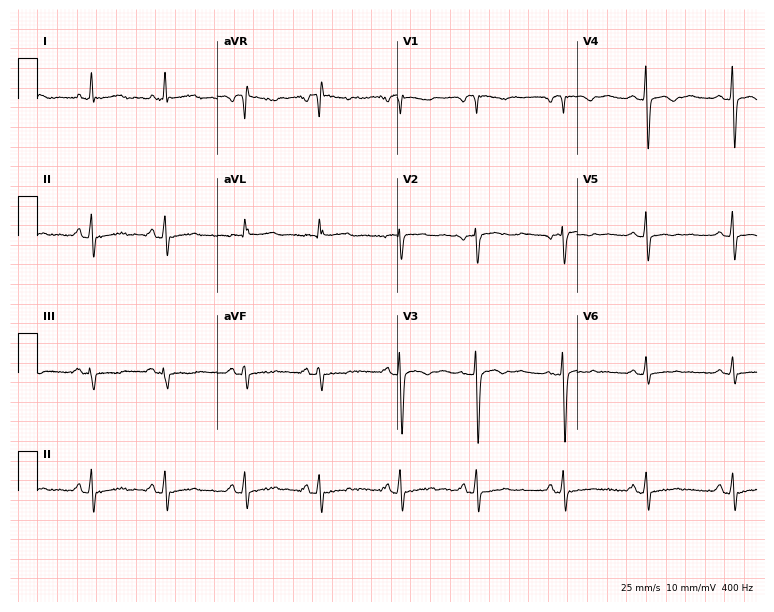
Resting 12-lead electrocardiogram (7.3-second recording at 400 Hz). Patient: a 61-year-old woman. None of these six findings is recorded: first-degree AV block, right bundle branch block, left bundle branch block, sinus bradycardia, atrial fibrillation, sinus tachycardia.